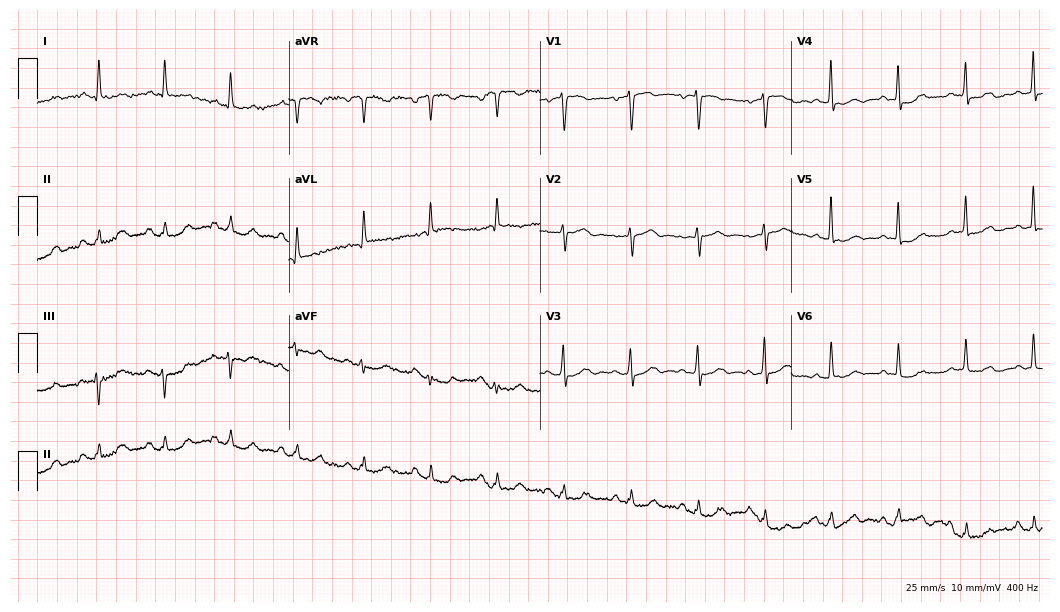
12-lead ECG from a female patient, 80 years old (10.2-second recording at 400 Hz). Recorded interpretation: within normal limits.